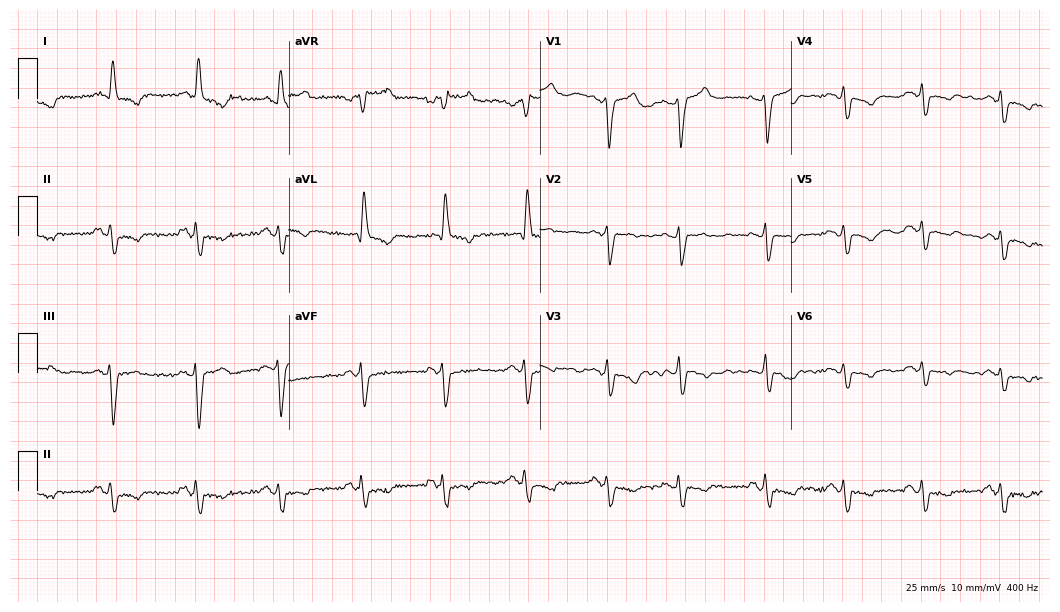
Resting 12-lead electrocardiogram. Patient: a woman, 65 years old. The tracing shows left bundle branch block (LBBB).